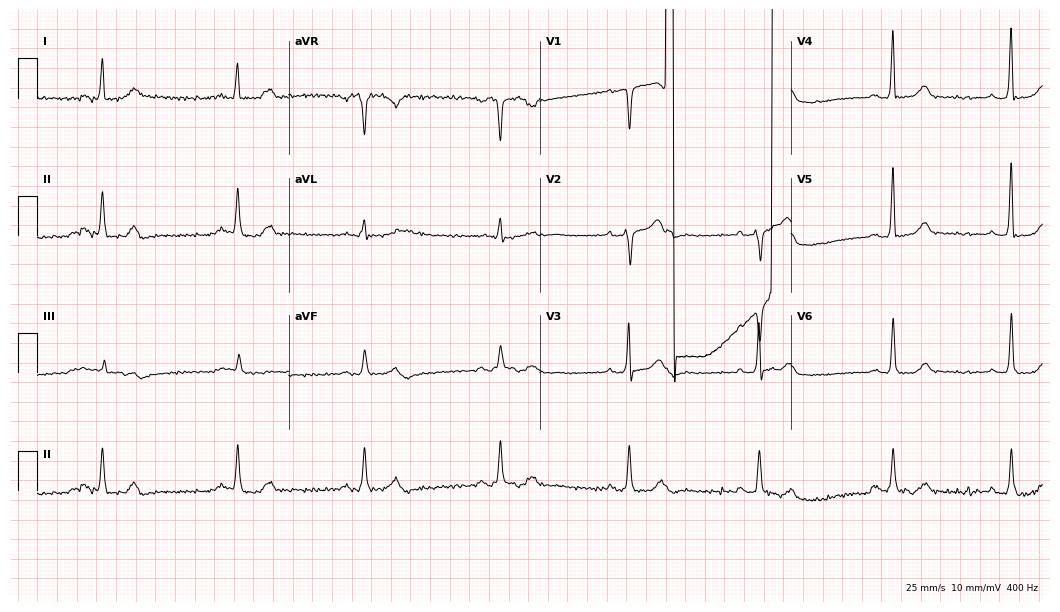
12-lead ECG from a female, 70 years old (10.2-second recording at 400 Hz). Shows atrial fibrillation.